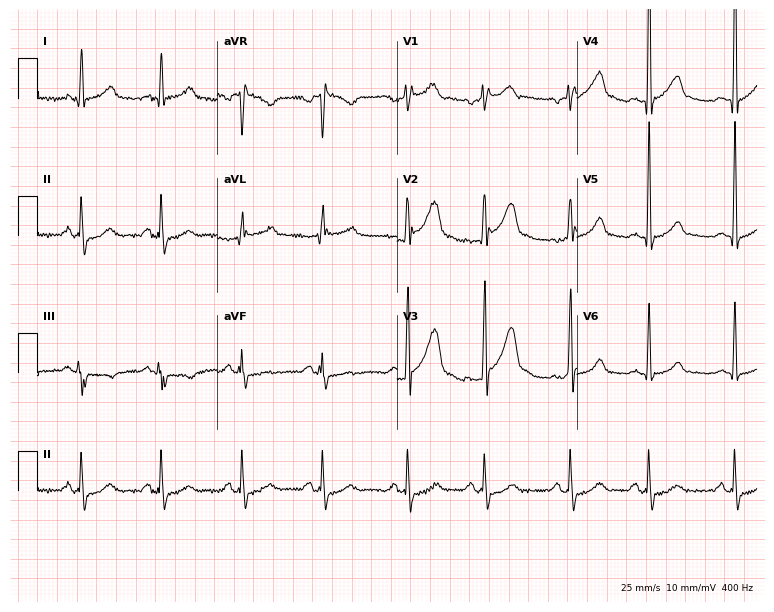
Standard 12-lead ECG recorded from a 51-year-old male patient. Read as a normal ECG.